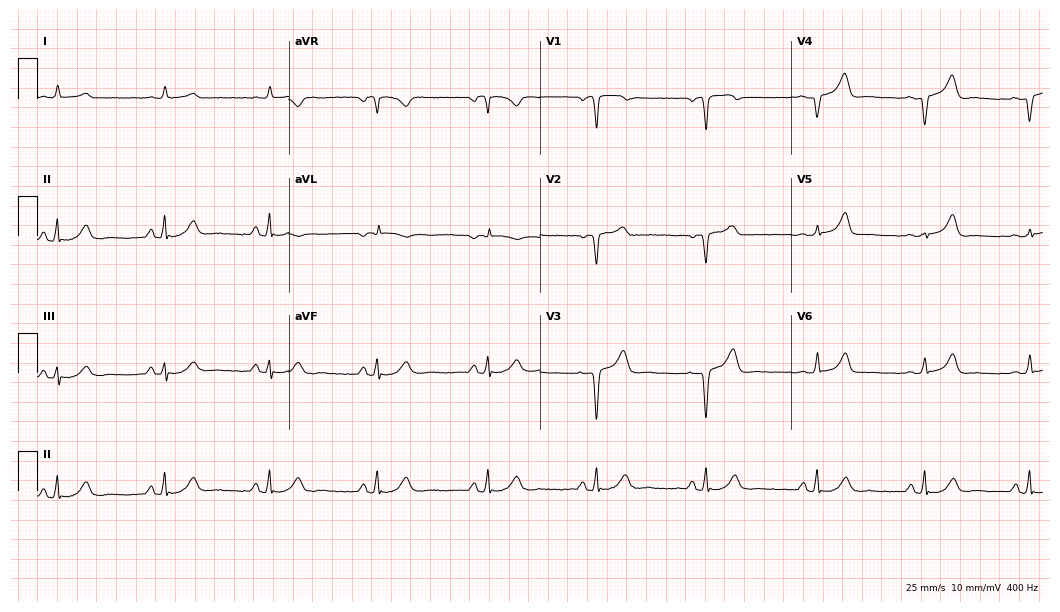
Resting 12-lead electrocardiogram. Patient: a male, 68 years old. None of these six findings is recorded: first-degree AV block, right bundle branch block, left bundle branch block, sinus bradycardia, atrial fibrillation, sinus tachycardia.